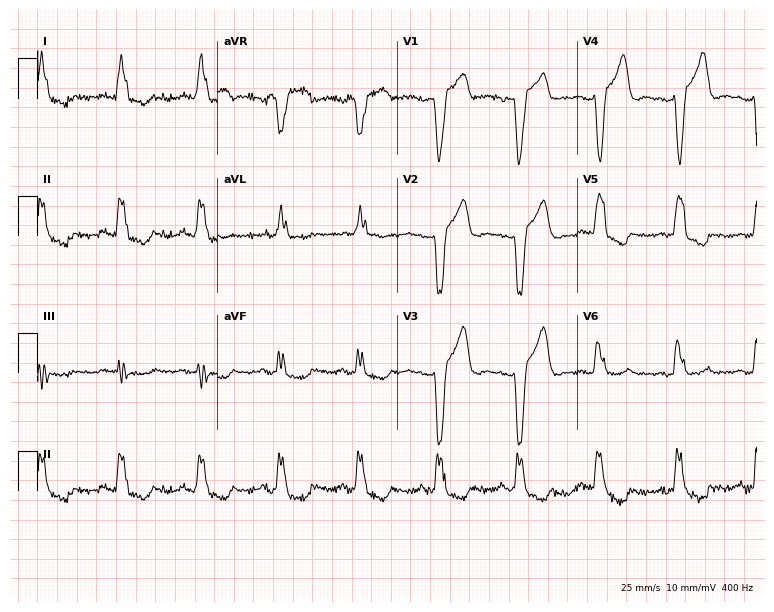
12-lead ECG from a 69-year-old woman. Shows left bundle branch block.